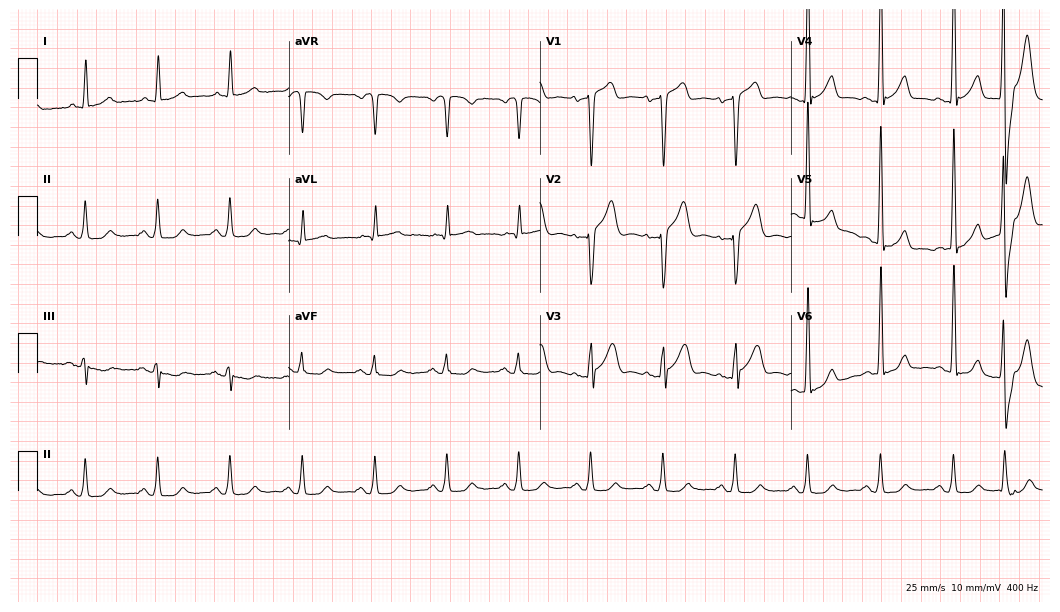
Resting 12-lead electrocardiogram. Patient: a 62-year-old male. None of these six findings is recorded: first-degree AV block, right bundle branch block, left bundle branch block, sinus bradycardia, atrial fibrillation, sinus tachycardia. Other findings, if any, are not listed.